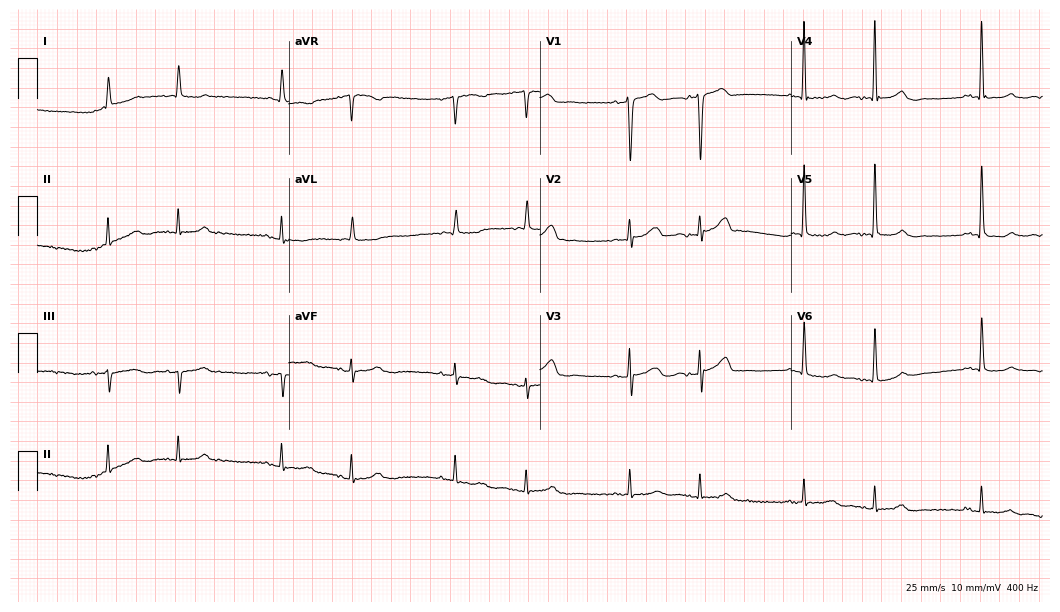
Electrocardiogram (10.2-second recording at 400 Hz), a 76-year-old female patient. Of the six screened findings (first-degree AV block, right bundle branch block (RBBB), left bundle branch block (LBBB), sinus bradycardia, atrial fibrillation (AF), sinus tachycardia), none is recorded. Findings outside these six are not listed.